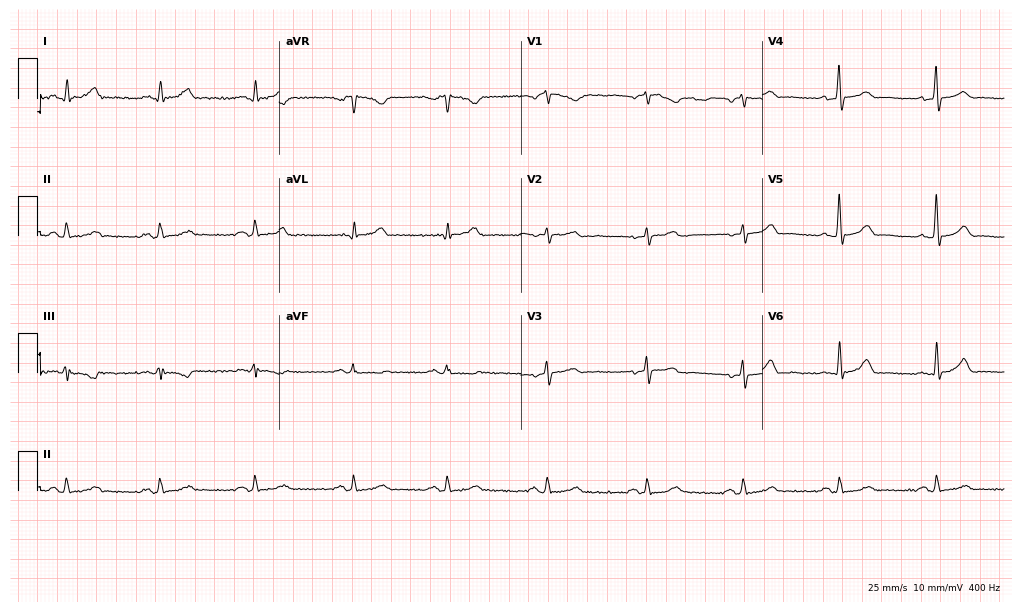
Electrocardiogram, a male patient, 63 years old. Of the six screened findings (first-degree AV block, right bundle branch block (RBBB), left bundle branch block (LBBB), sinus bradycardia, atrial fibrillation (AF), sinus tachycardia), none is recorded.